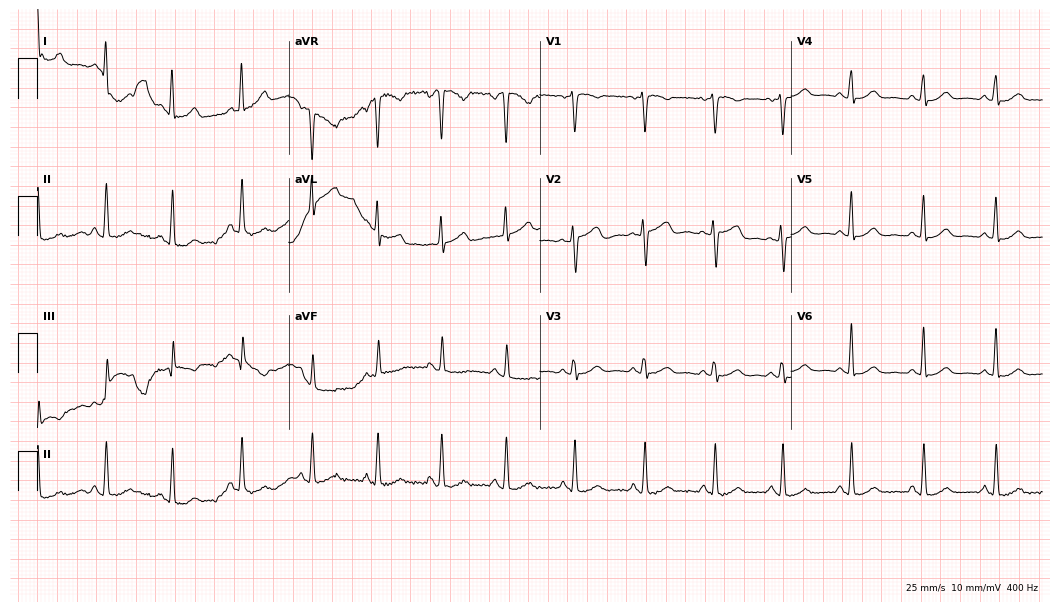
ECG — a 35-year-old woman. Labelled as a normal ECG.